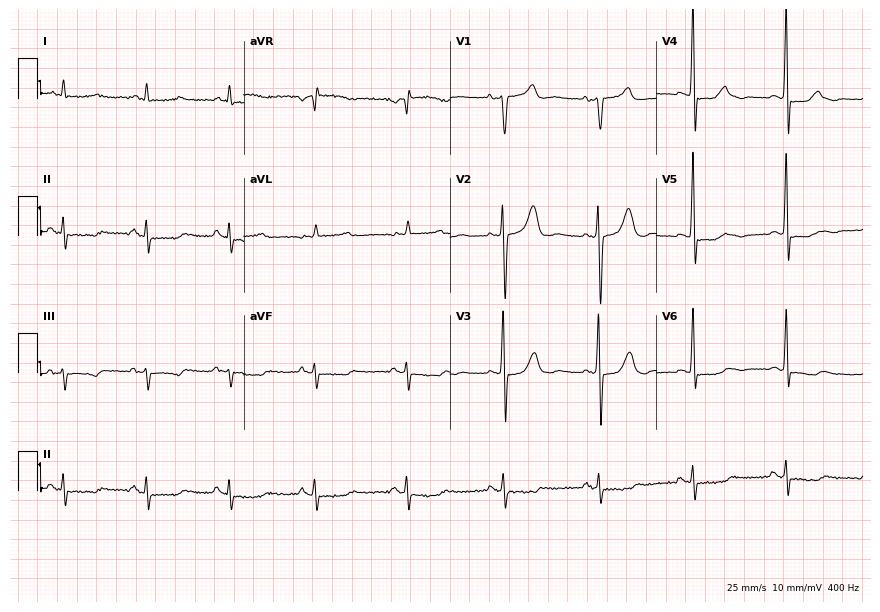
Resting 12-lead electrocardiogram. Patient: a male, 59 years old. None of these six findings is recorded: first-degree AV block, right bundle branch block, left bundle branch block, sinus bradycardia, atrial fibrillation, sinus tachycardia.